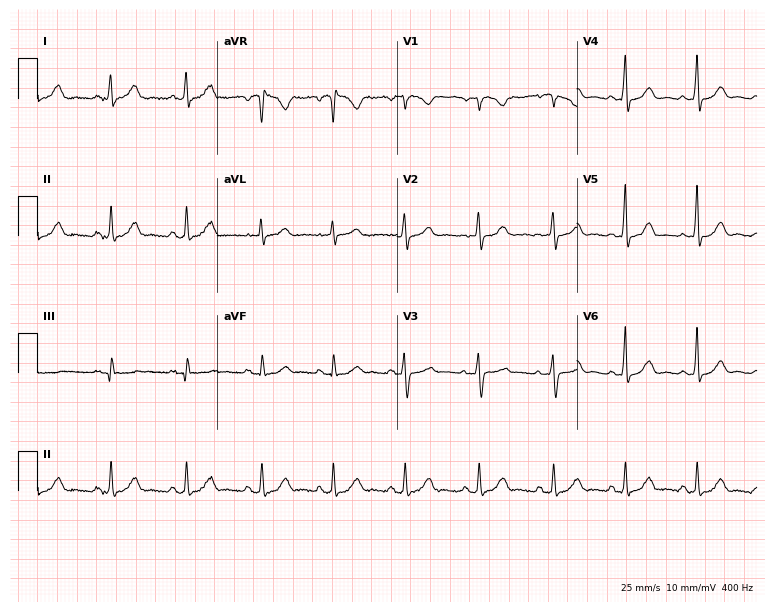
Electrocardiogram, a woman, 34 years old. Overall reading on record: normal ECG.